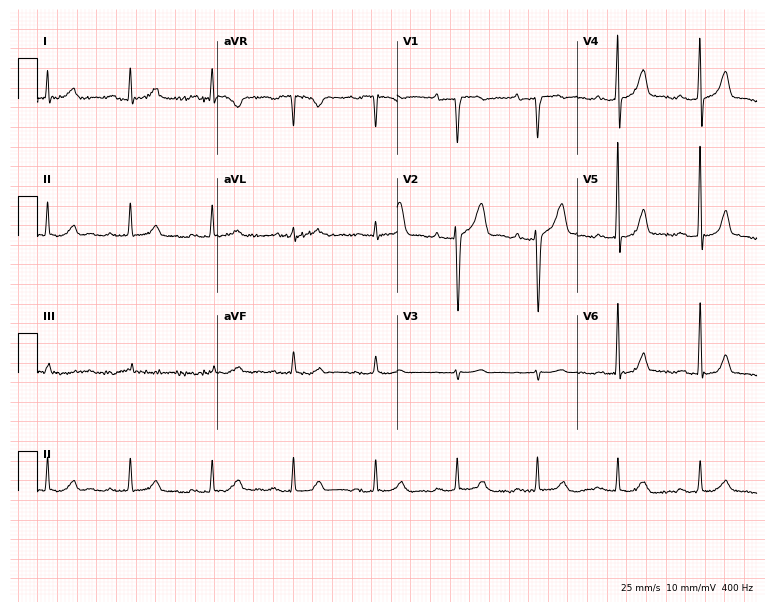
ECG (7.3-second recording at 400 Hz) — a 70-year-old male patient. Labelled as a normal ECG.